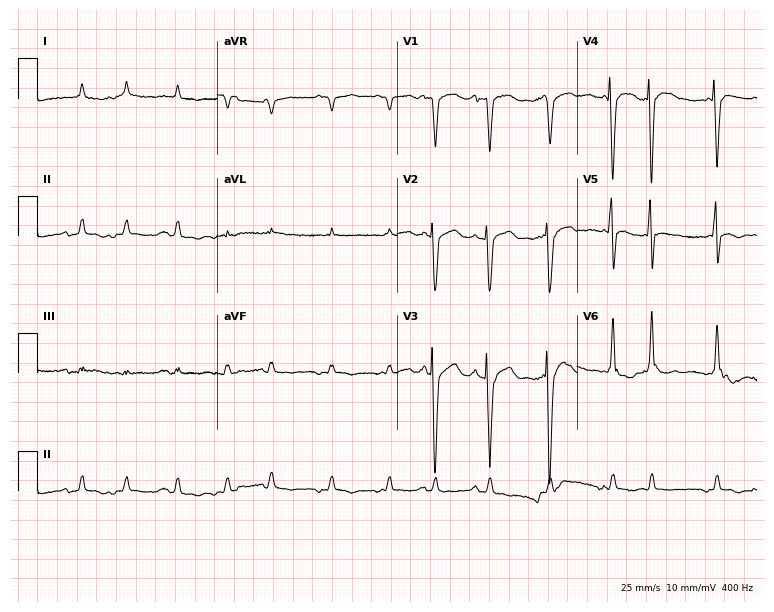
ECG — a male patient, 68 years old. Screened for six findings — first-degree AV block, right bundle branch block, left bundle branch block, sinus bradycardia, atrial fibrillation, sinus tachycardia — none is recorded. Findings outside these six are not listed.